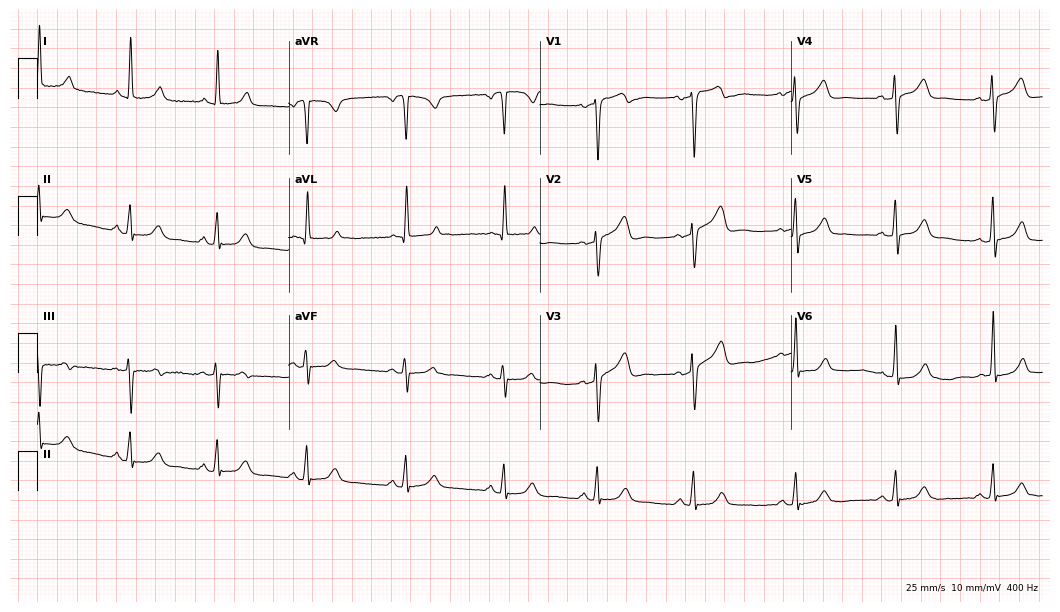
Standard 12-lead ECG recorded from a 57-year-old woman (10.2-second recording at 400 Hz). Read as a normal ECG.